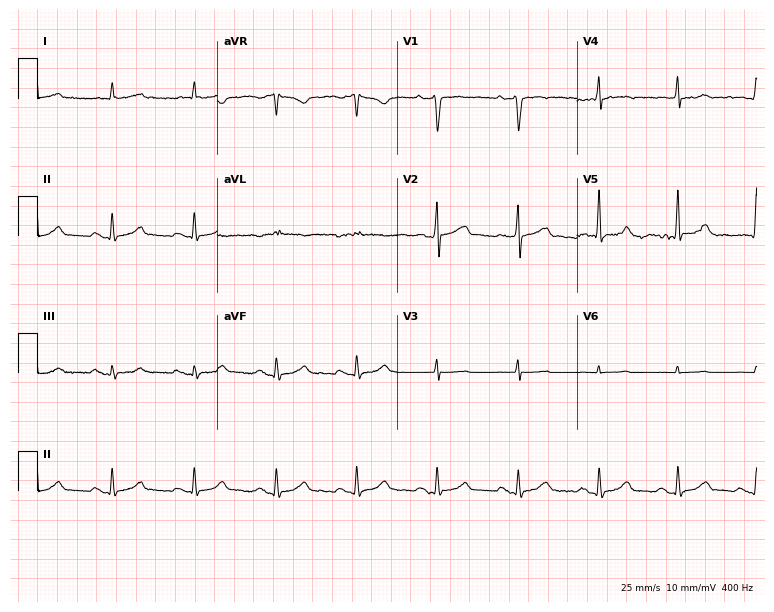
Resting 12-lead electrocardiogram (7.3-second recording at 400 Hz). Patient: a male, 62 years old. Read as a normal ECG.